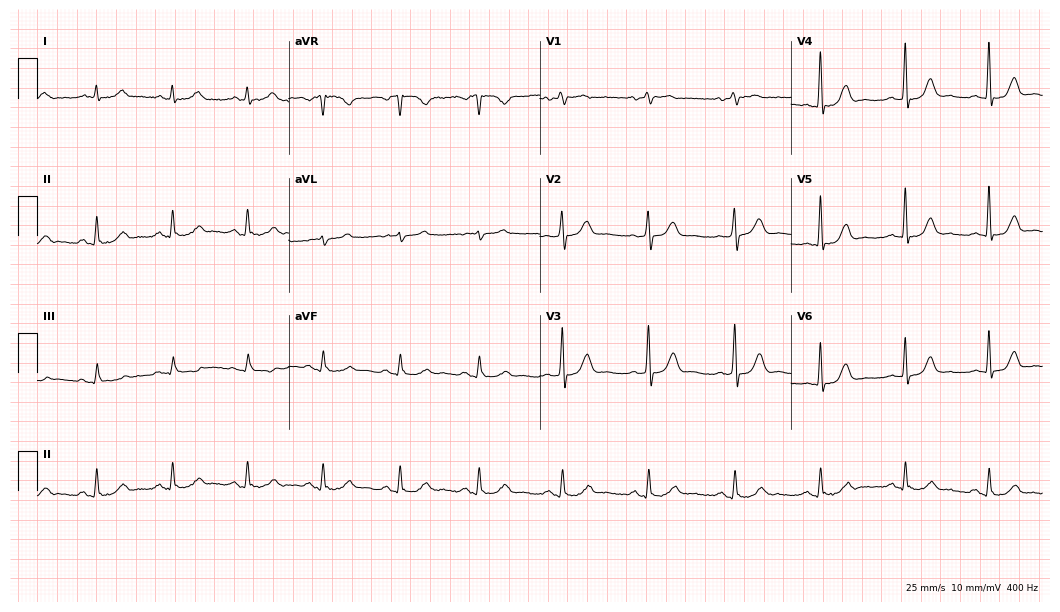
Resting 12-lead electrocardiogram. Patient: a 49-year-old male. None of these six findings is recorded: first-degree AV block, right bundle branch block, left bundle branch block, sinus bradycardia, atrial fibrillation, sinus tachycardia. Only these six findings were labelled.